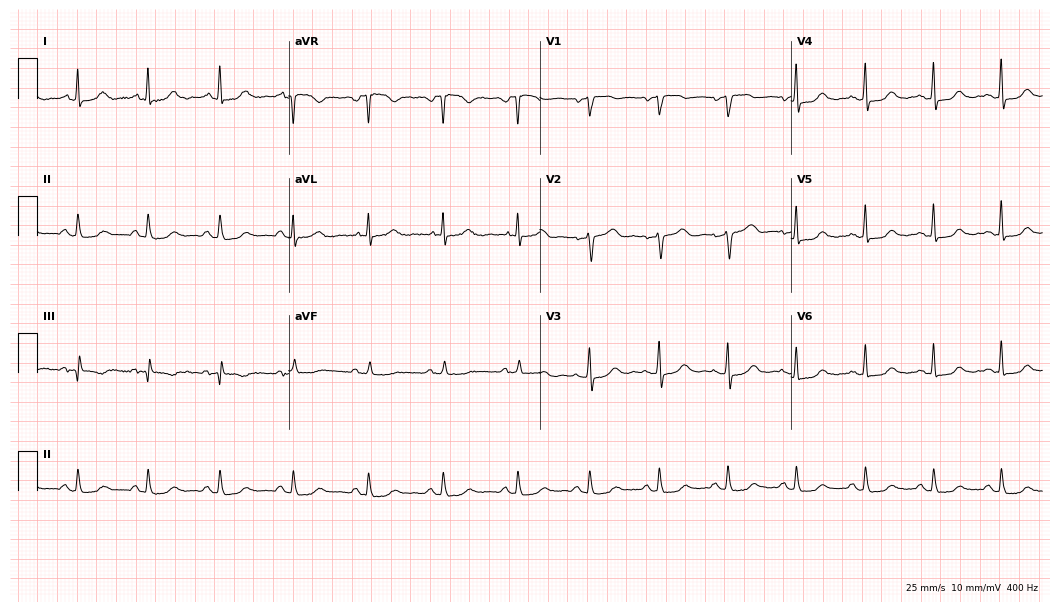
12-lead ECG (10.2-second recording at 400 Hz) from a female patient, 62 years old. Labelled as a normal ECG.